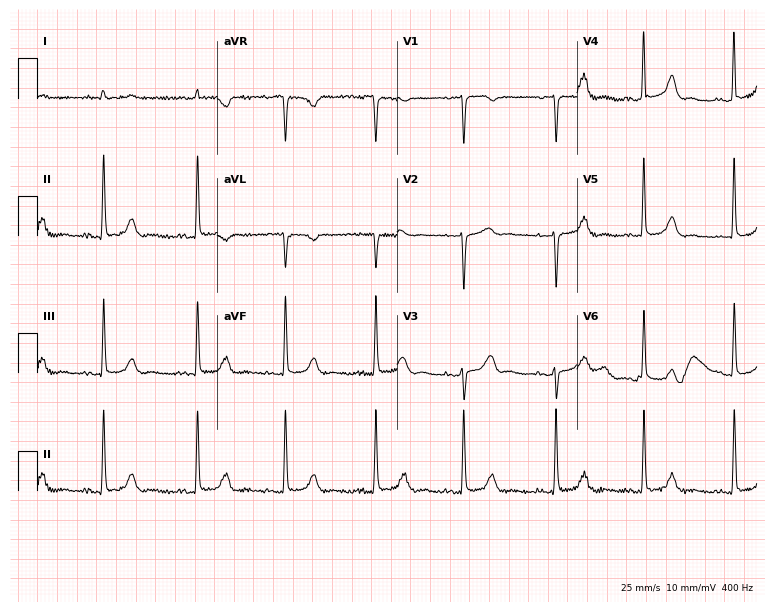
ECG (7.3-second recording at 400 Hz) — an 81-year-old woman. Screened for six findings — first-degree AV block, right bundle branch block, left bundle branch block, sinus bradycardia, atrial fibrillation, sinus tachycardia — none is recorded.